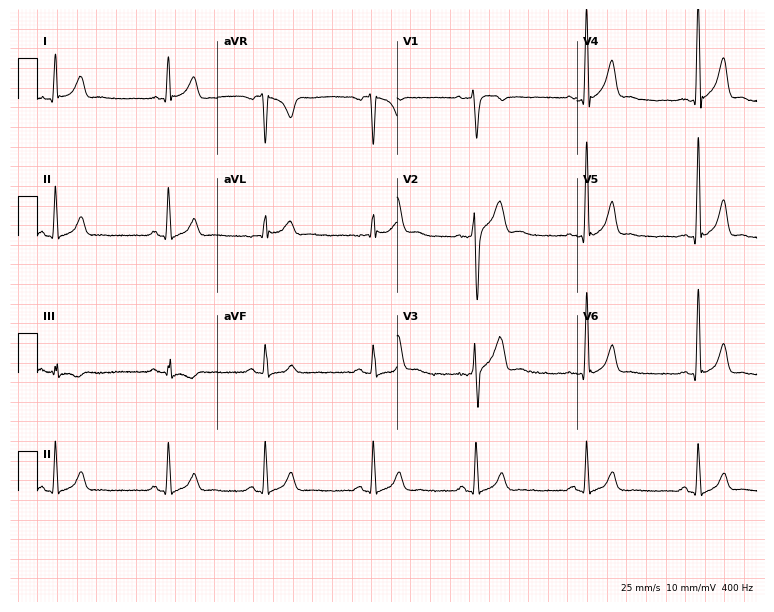
Standard 12-lead ECG recorded from a 28-year-old male patient (7.3-second recording at 400 Hz). None of these six findings is recorded: first-degree AV block, right bundle branch block (RBBB), left bundle branch block (LBBB), sinus bradycardia, atrial fibrillation (AF), sinus tachycardia. Findings outside these six are not listed.